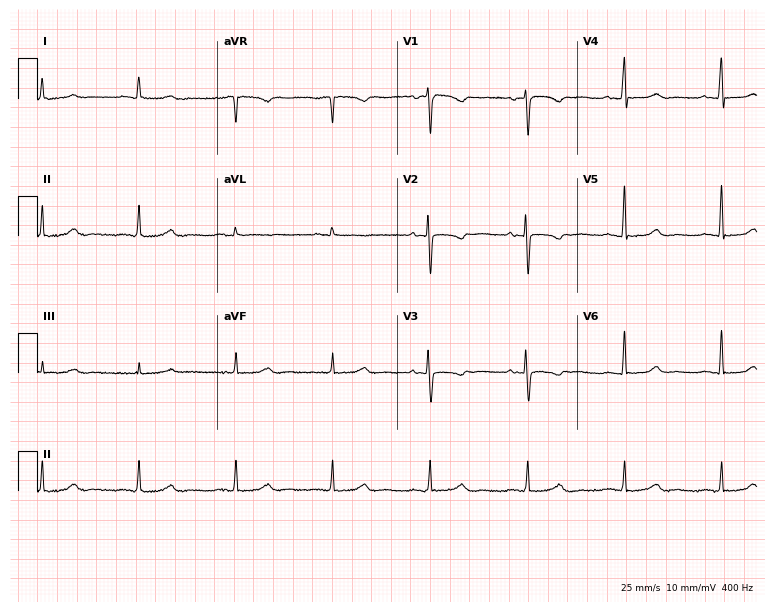
12-lead ECG from a 46-year-old female patient. Screened for six findings — first-degree AV block, right bundle branch block (RBBB), left bundle branch block (LBBB), sinus bradycardia, atrial fibrillation (AF), sinus tachycardia — none is recorded. Only these six findings were labelled.